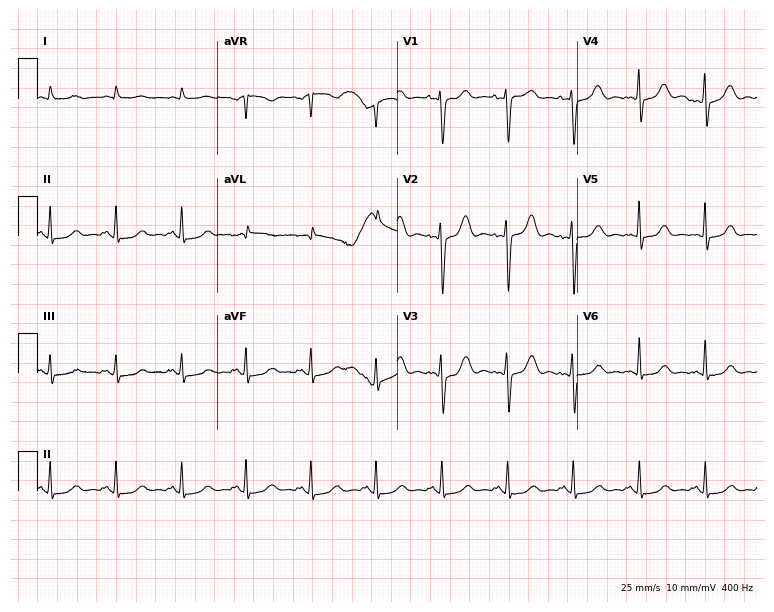
Standard 12-lead ECG recorded from a 71-year-old male patient (7.3-second recording at 400 Hz). None of these six findings is recorded: first-degree AV block, right bundle branch block (RBBB), left bundle branch block (LBBB), sinus bradycardia, atrial fibrillation (AF), sinus tachycardia. Only these six findings were labelled.